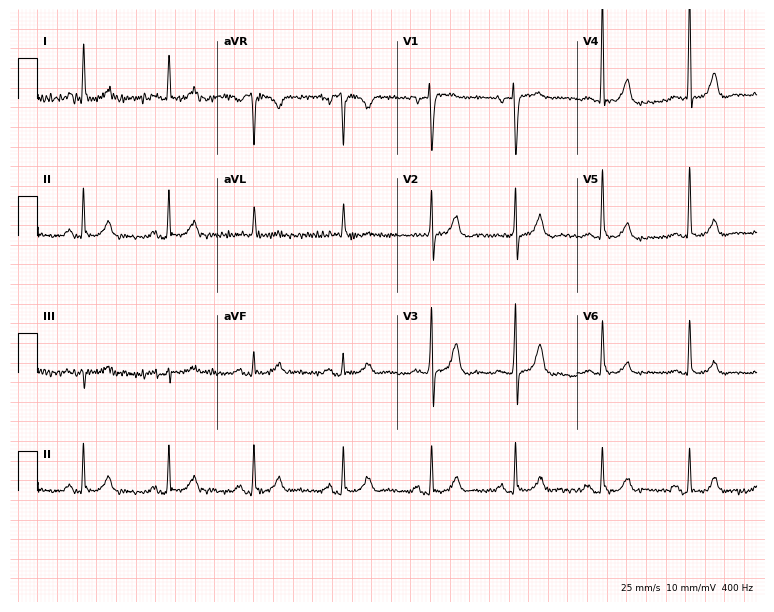
Electrocardiogram, a female, 68 years old. Of the six screened findings (first-degree AV block, right bundle branch block, left bundle branch block, sinus bradycardia, atrial fibrillation, sinus tachycardia), none is recorded.